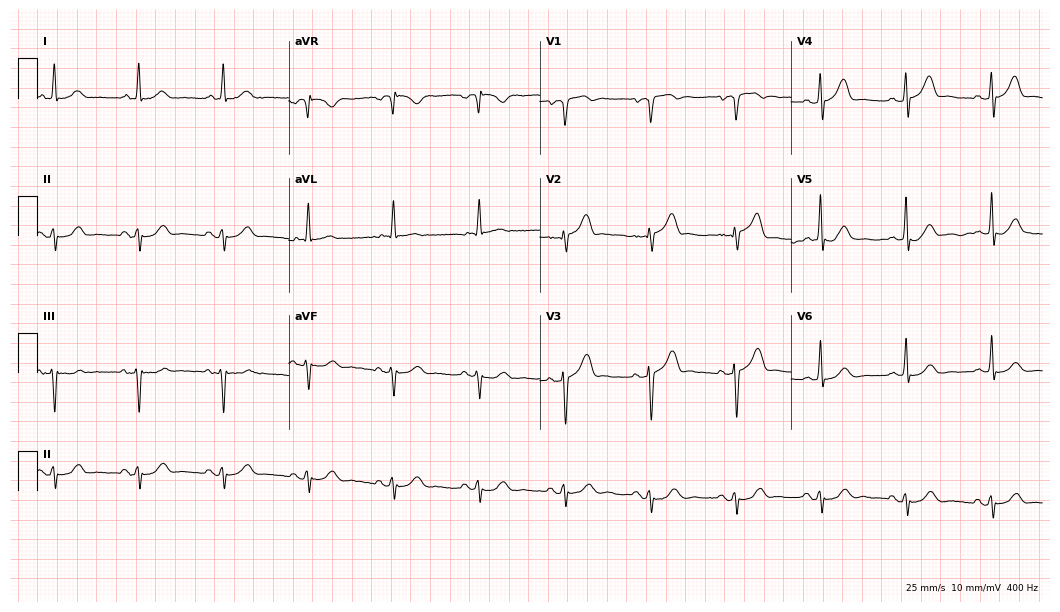
Standard 12-lead ECG recorded from a male patient, 77 years old (10.2-second recording at 400 Hz). None of these six findings is recorded: first-degree AV block, right bundle branch block, left bundle branch block, sinus bradycardia, atrial fibrillation, sinus tachycardia.